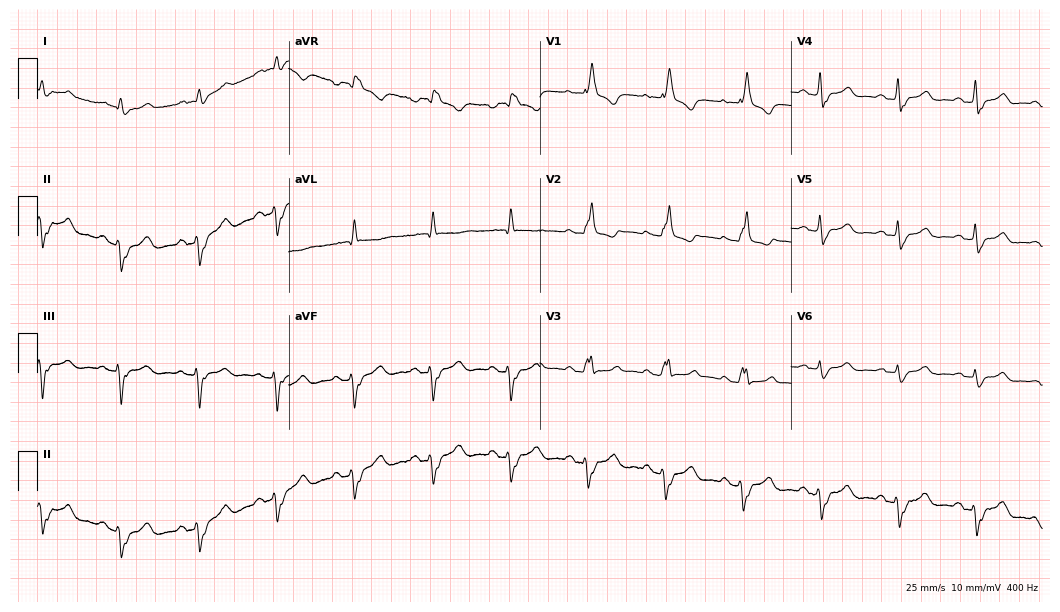
Electrocardiogram (10.2-second recording at 400 Hz), a 55-year-old male. Interpretation includes right bundle branch block.